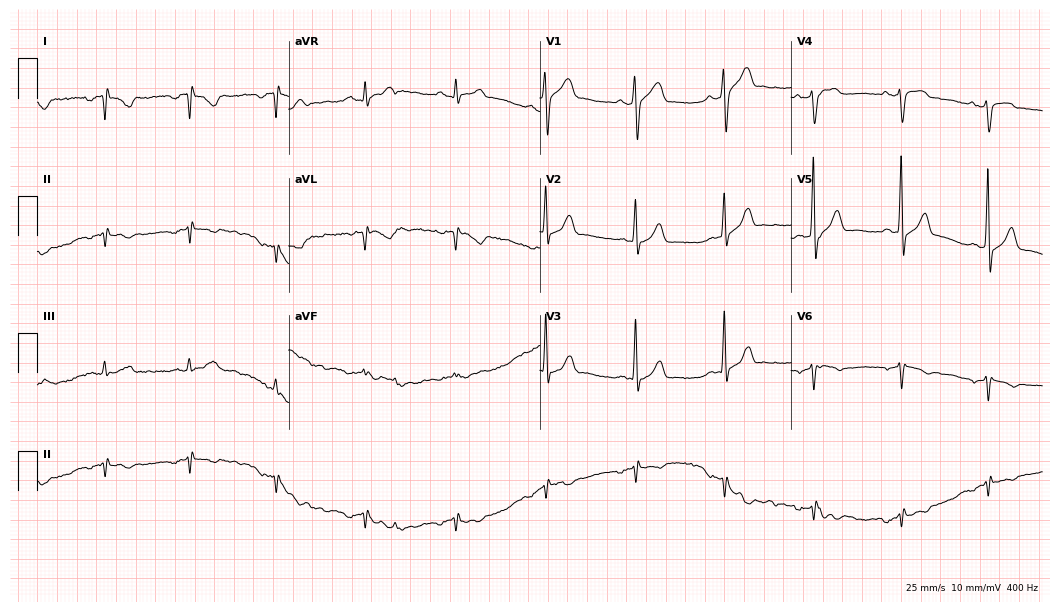
12-lead ECG (10.2-second recording at 400 Hz) from a 58-year-old male. Screened for six findings — first-degree AV block, right bundle branch block, left bundle branch block, sinus bradycardia, atrial fibrillation, sinus tachycardia — none is recorded. Only these six findings were labelled.